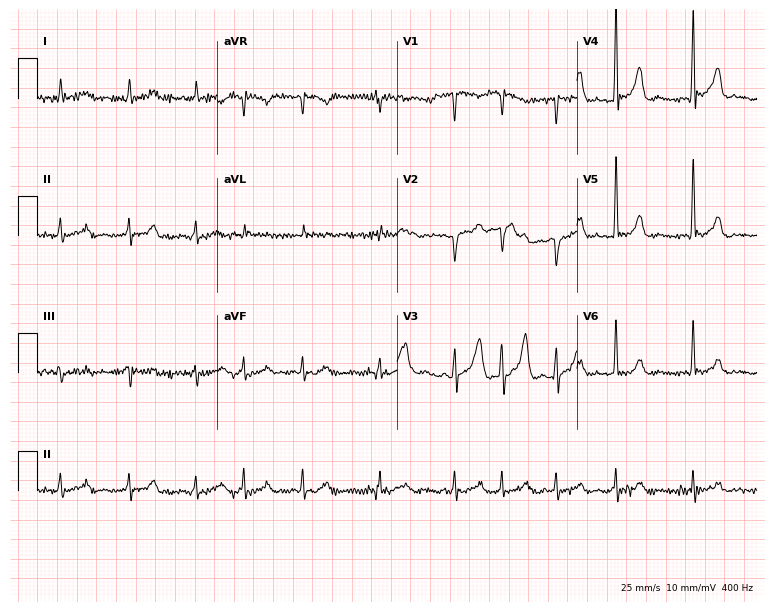
ECG (7.3-second recording at 400 Hz) — a 70-year-old male. Screened for six findings — first-degree AV block, right bundle branch block, left bundle branch block, sinus bradycardia, atrial fibrillation, sinus tachycardia — none is recorded. Other findings, if any, are not listed.